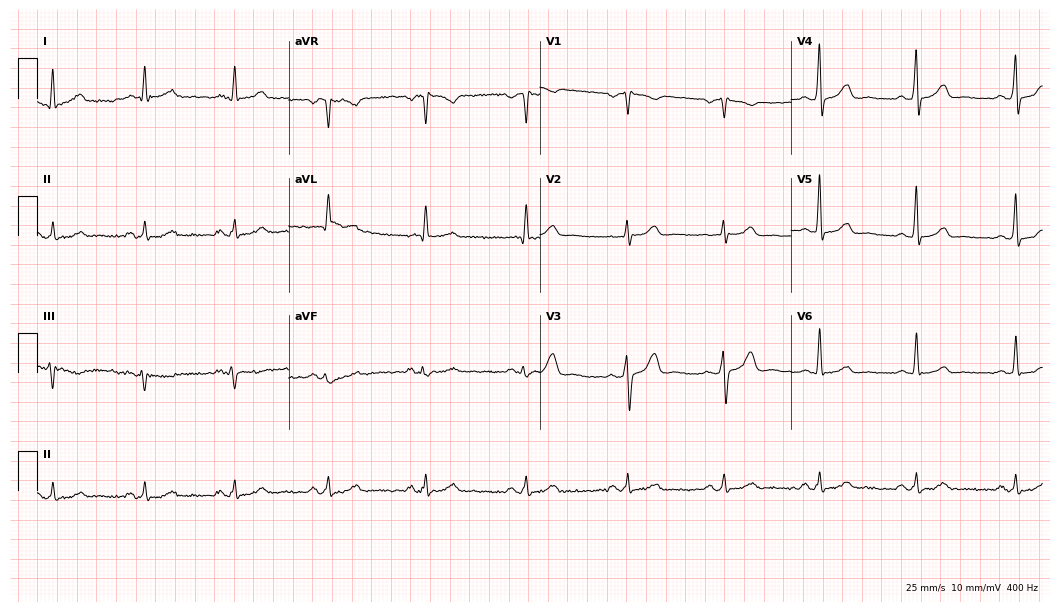
Electrocardiogram, a man, 44 years old. Overall reading on record: normal ECG.